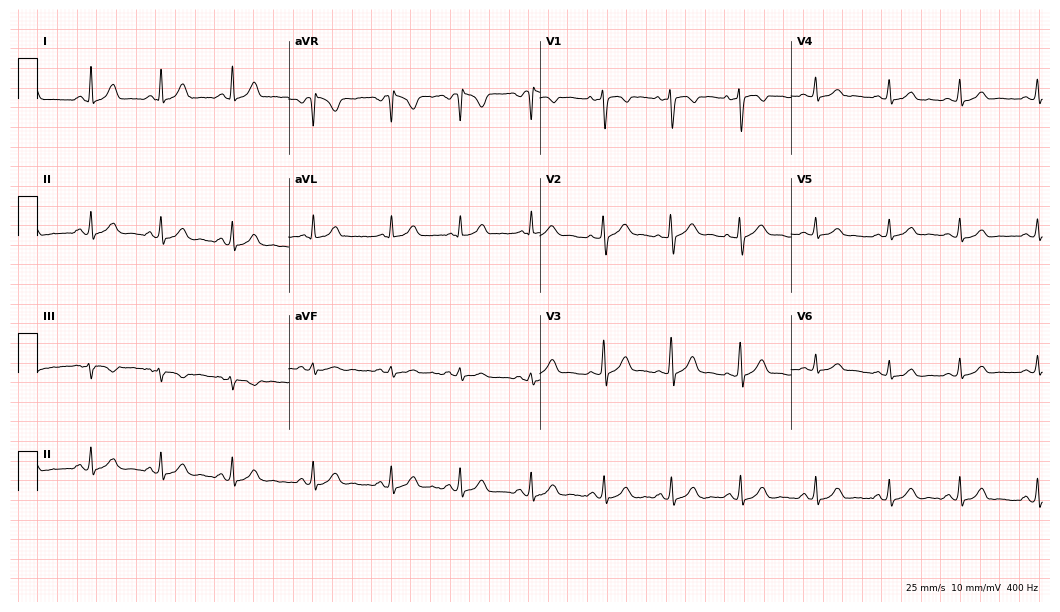
12-lead ECG (10.2-second recording at 400 Hz) from a woman, 22 years old. Labelled as a normal ECG.